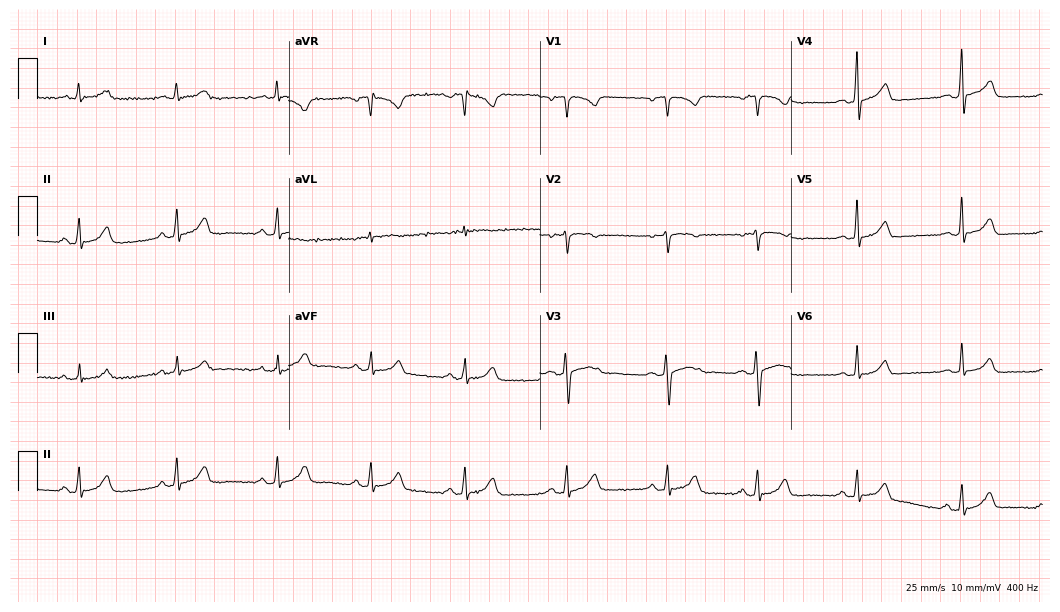
Electrocardiogram (10.2-second recording at 400 Hz), a female, 35 years old. Overall reading on record: normal ECG.